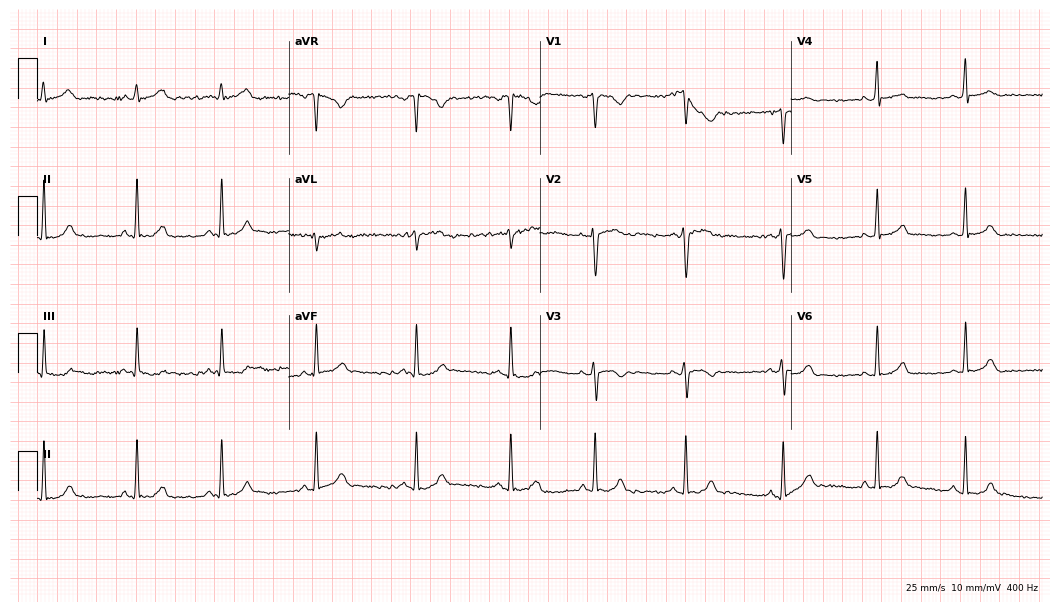
Standard 12-lead ECG recorded from a woman, 21 years old (10.2-second recording at 400 Hz). Read as a normal ECG.